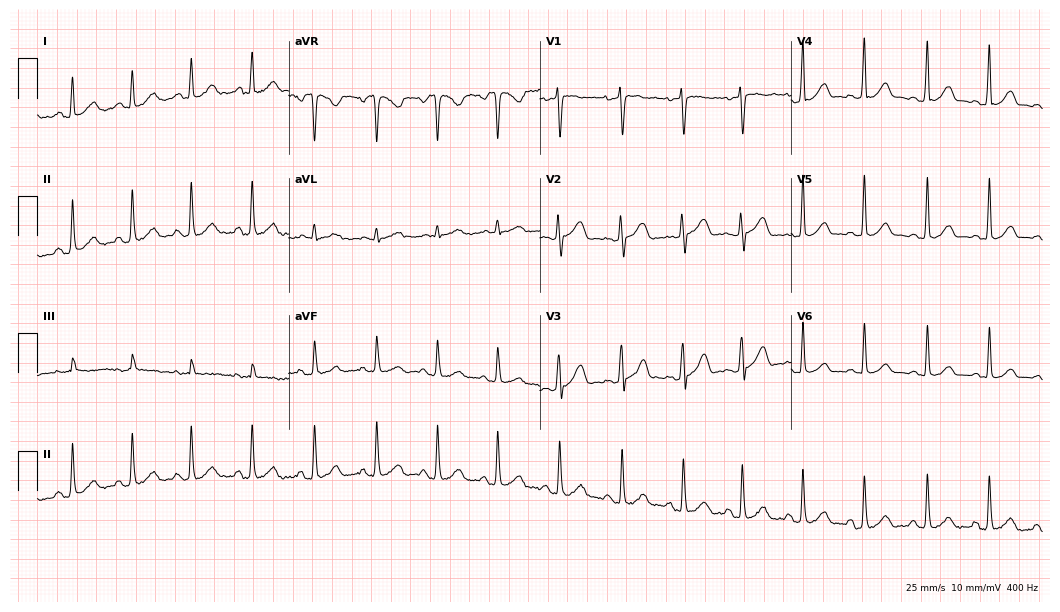
ECG (10.2-second recording at 400 Hz) — a woman, 17 years old. Labelled as a normal ECG.